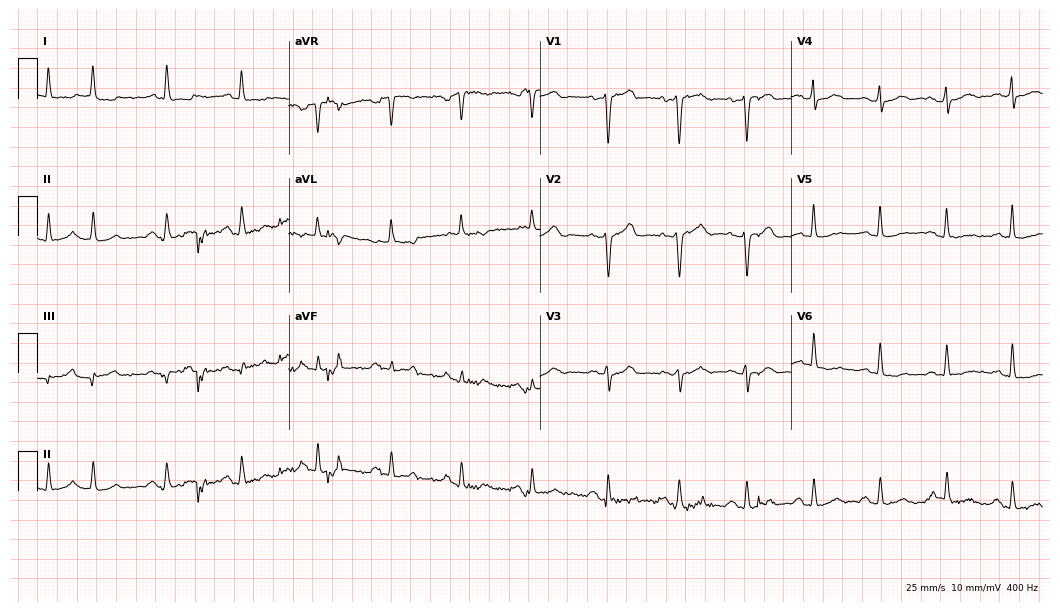
Standard 12-lead ECG recorded from an 81-year-old female patient (10.2-second recording at 400 Hz). Read as a normal ECG.